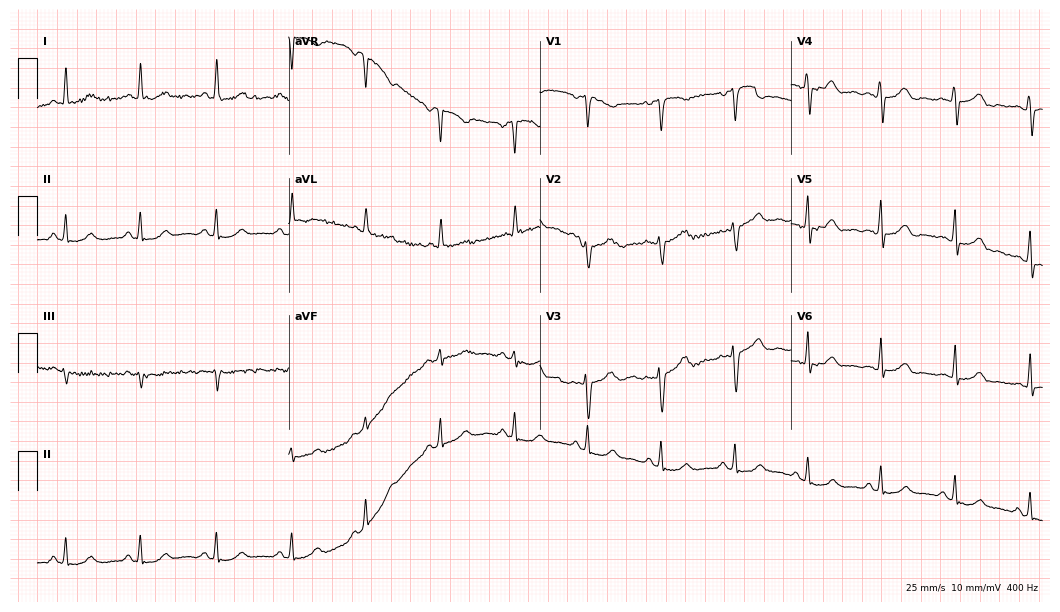
Electrocardiogram, a woman, 50 years old. Overall reading on record: normal ECG.